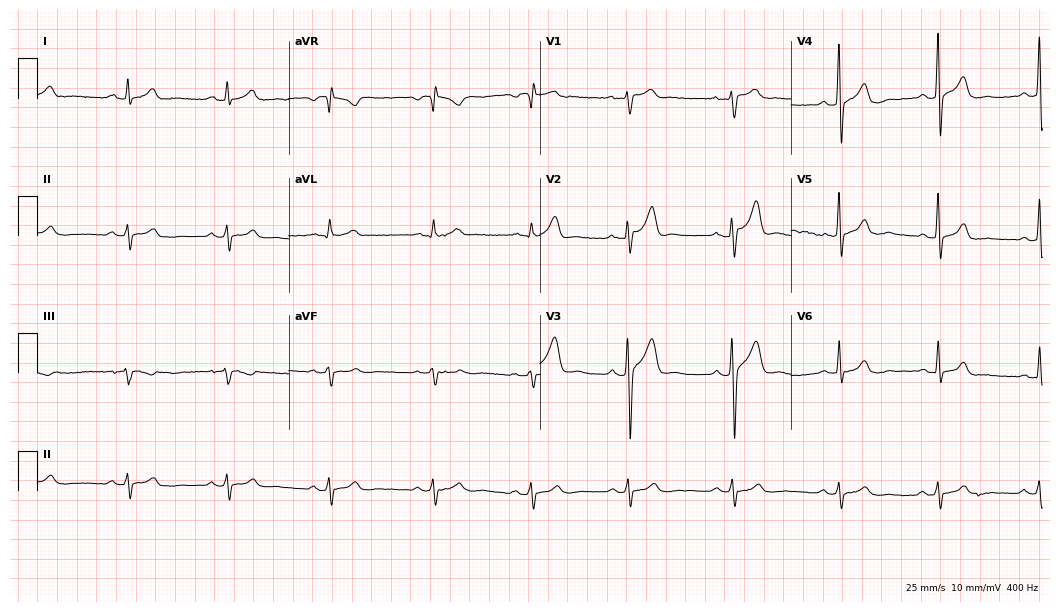
12-lead ECG (10.2-second recording at 400 Hz) from a 40-year-old man. Screened for six findings — first-degree AV block, right bundle branch block, left bundle branch block, sinus bradycardia, atrial fibrillation, sinus tachycardia — none is recorded. Other findings, if any, are not listed.